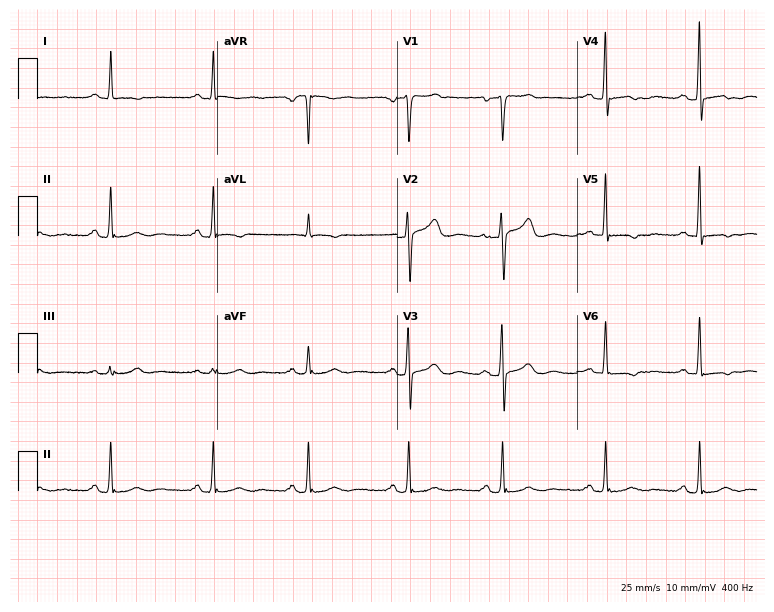
Electrocardiogram (7.3-second recording at 400 Hz), a 45-year-old female patient. Overall reading on record: normal ECG.